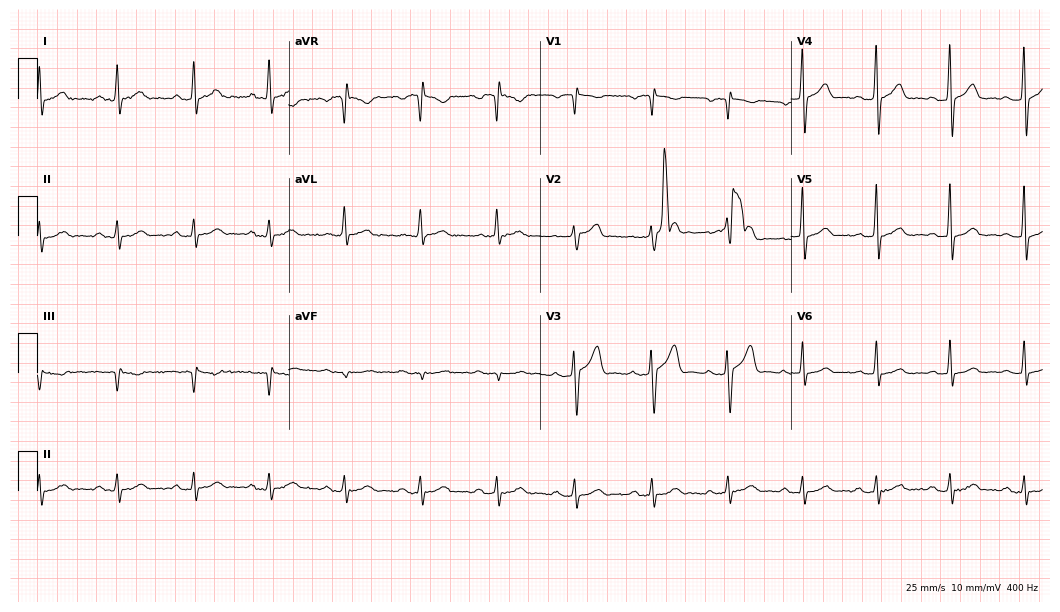
Electrocardiogram, a male patient, 43 years old. Overall reading on record: normal ECG.